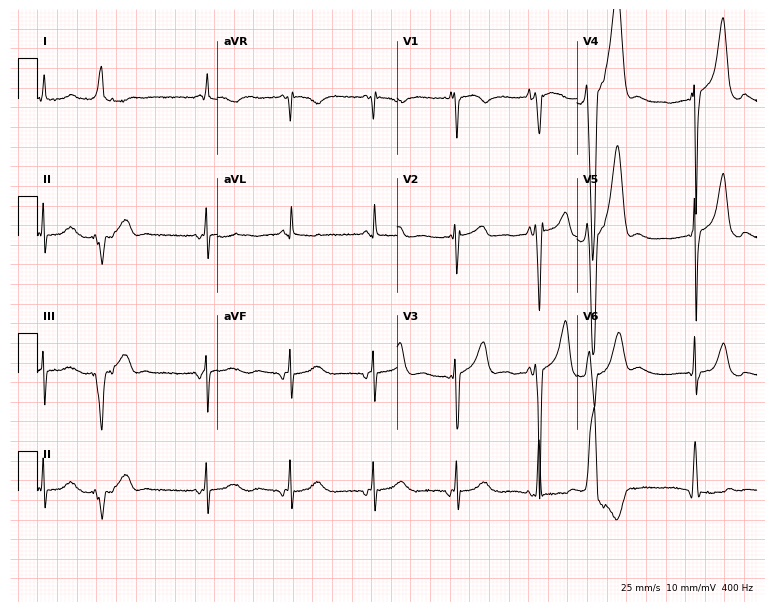
Electrocardiogram, a male, 73 years old. Of the six screened findings (first-degree AV block, right bundle branch block, left bundle branch block, sinus bradycardia, atrial fibrillation, sinus tachycardia), none is recorded.